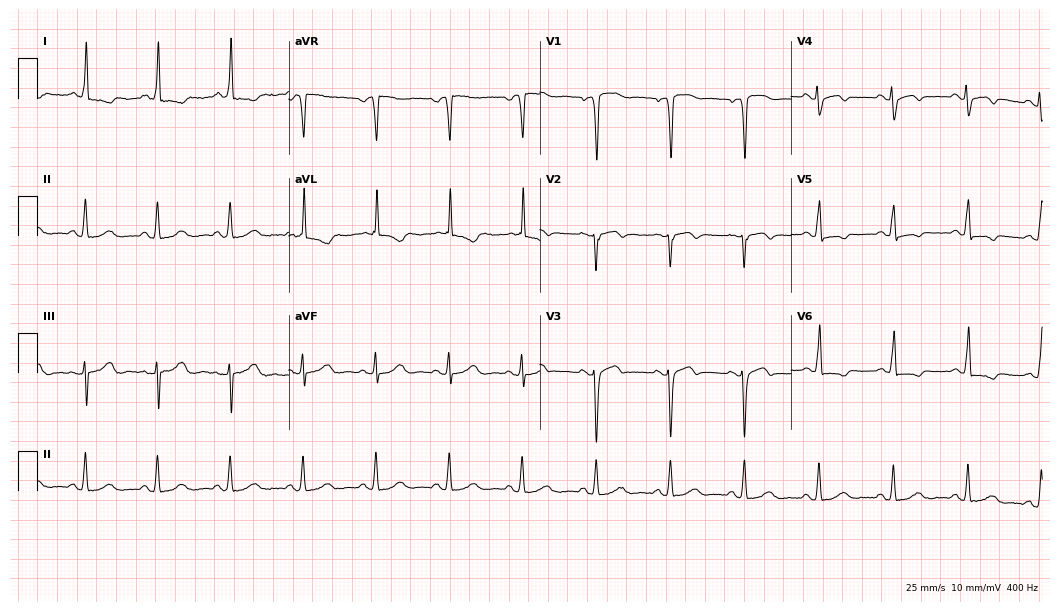
12-lead ECG from a 67-year-old woman. Screened for six findings — first-degree AV block, right bundle branch block (RBBB), left bundle branch block (LBBB), sinus bradycardia, atrial fibrillation (AF), sinus tachycardia — none is recorded.